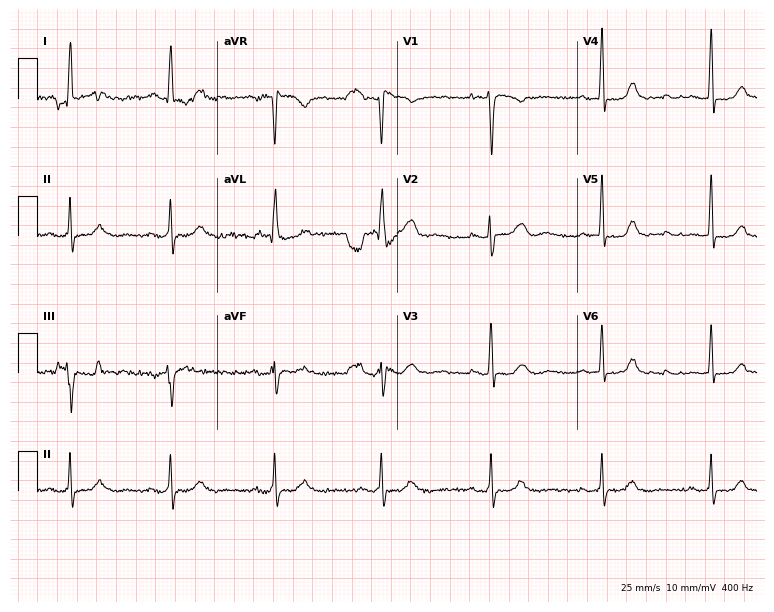
Standard 12-lead ECG recorded from a female, 57 years old. None of these six findings is recorded: first-degree AV block, right bundle branch block, left bundle branch block, sinus bradycardia, atrial fibrillation, sinus tachycardia. Only these six findings were labelled.